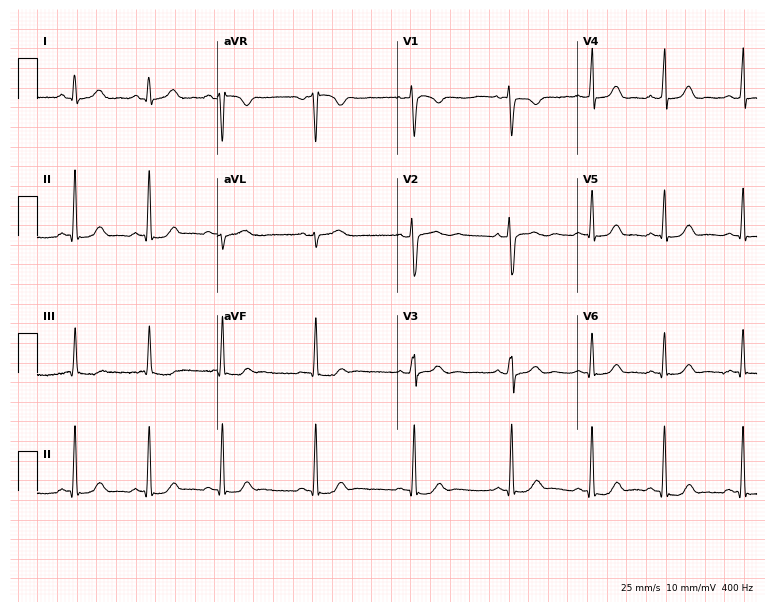
Resting 12-lead electrocardiogram. Patient: a 19-year-old woman. Read as a normal ECG.